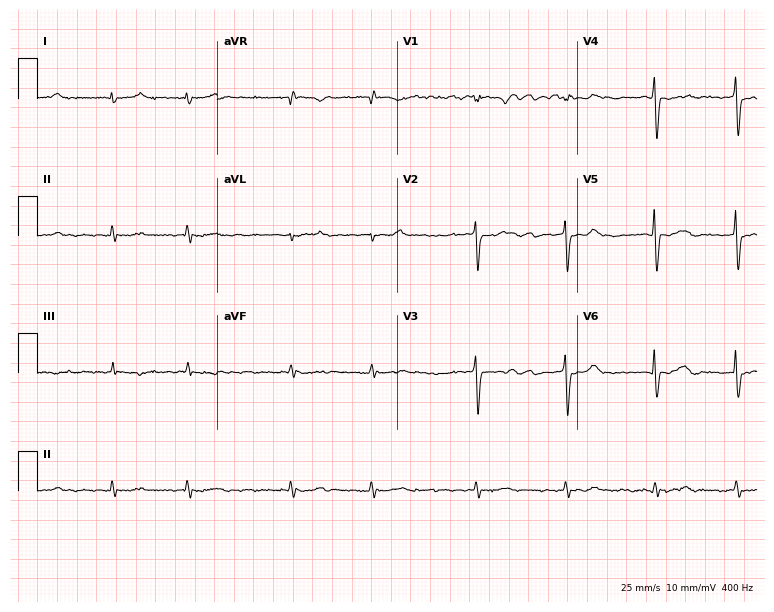
Electrocardiogram, a male patient, 79 years old. Interpretation includes atrial fibrillation.